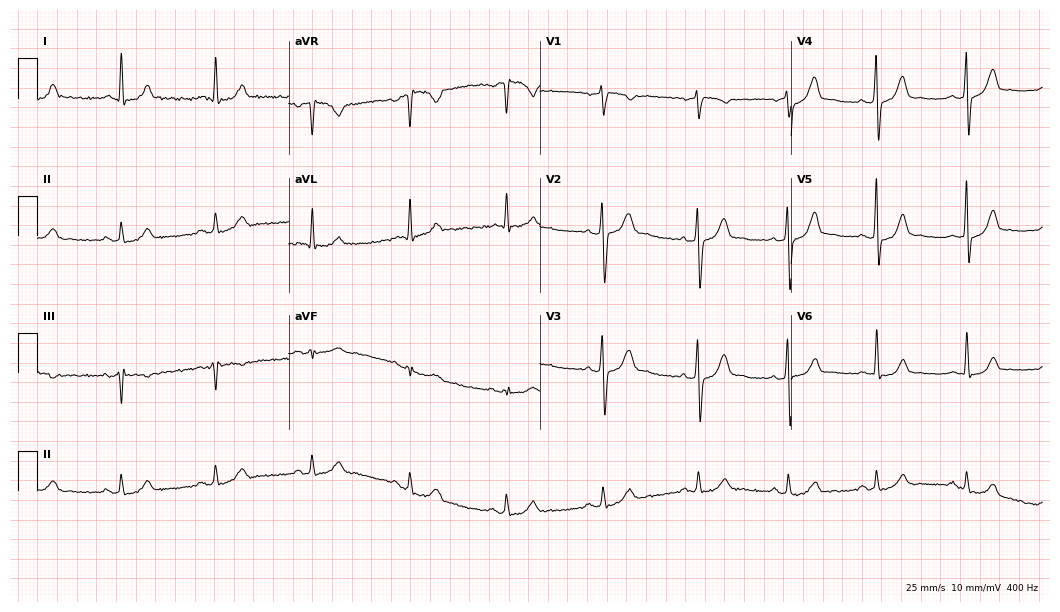
12-lead ECG from a male patient, 54 years old. No first-degree AV block, right bundle branch block, left bundle branch block, sinus bradycardia, atrial fibrillation or sinus tachycardia recorded for this tracing. Findings outside these six are not listed.